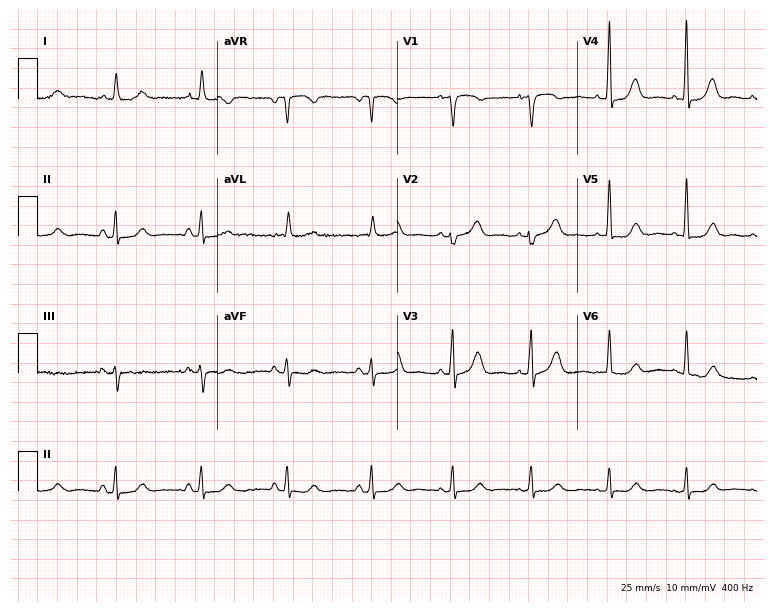
Standard 12-lead ECG recorded from a 64-year-old female (7.3-second recording at 400 Hz). None of these six findings is recorded: first-degree AV block, right bundle branch block, left bundle branch block, sinus bradycardia, atrial fibrillation, sinus tachycardia. Only these six findings were labelled.